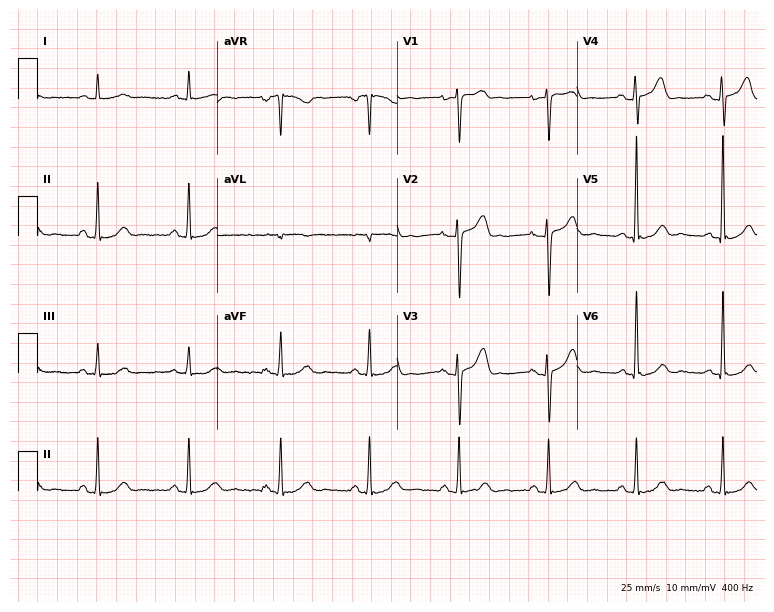
Electrocardiogram, a 62-year-old male. Overall reading on record: normal ECG.